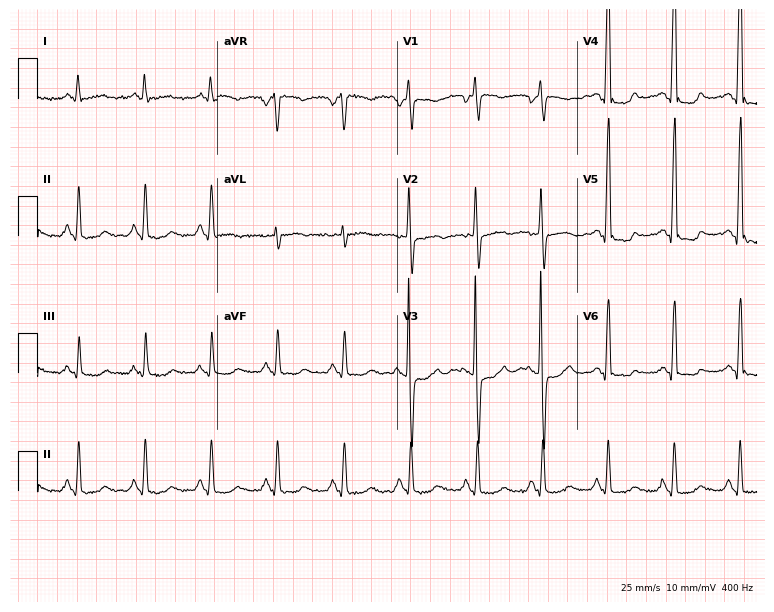
Resting 12-lead electrocardiogram. Patient: a male, 53 years old. None of these six findings is recorded: first-degree AV block, right bundle branch block, left bundle branch block, sinus bradycardia, atrial fibrillation, sinus tachycardia.